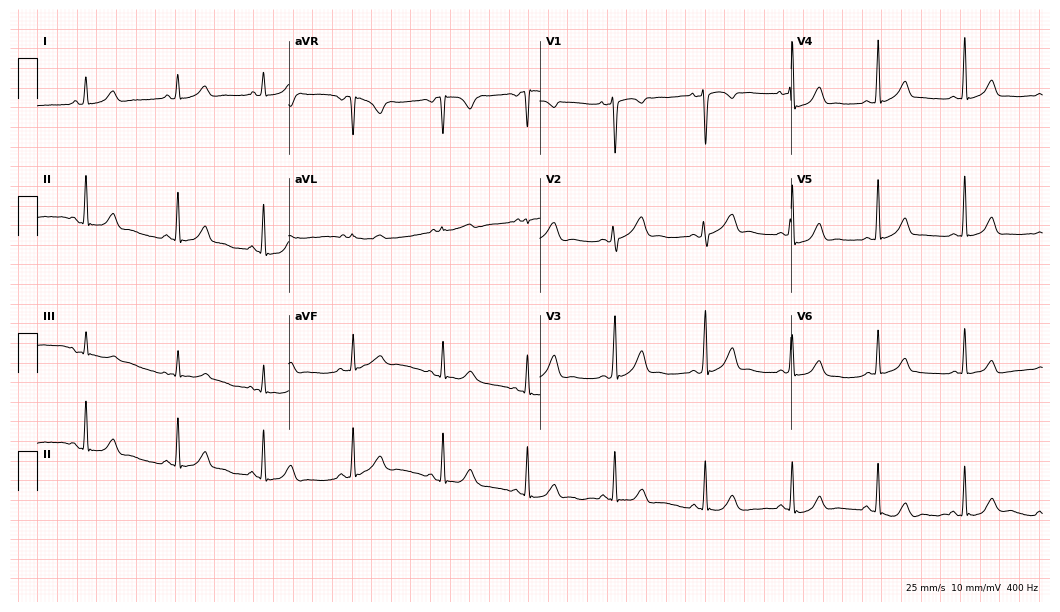
ECG (10.2-second recording at 400 Hz) — a woman, 25 years old. Labelled as a normal ECG.